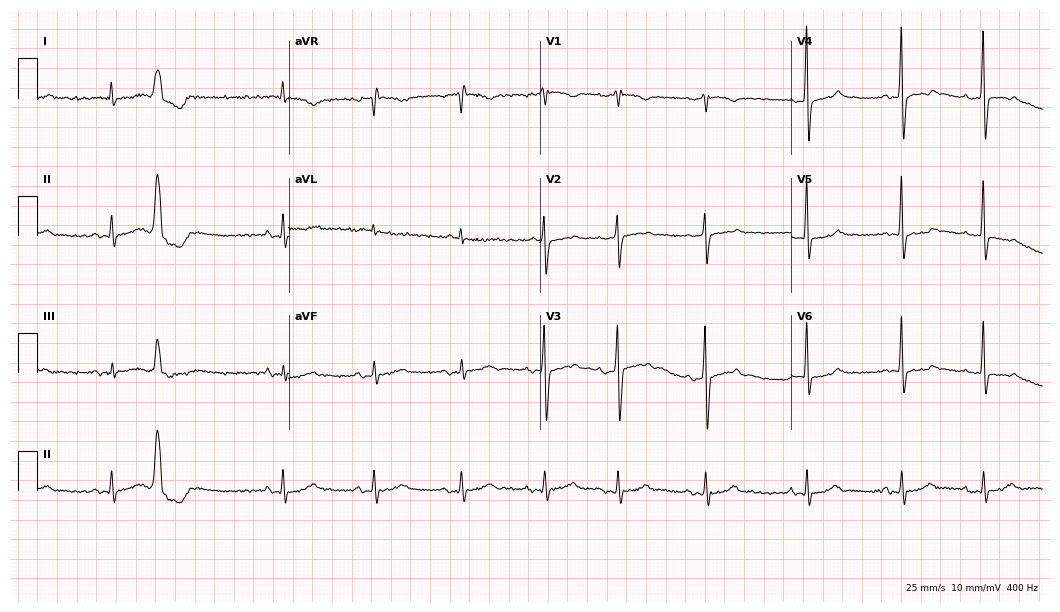
Resting 12-lead electrocardiogram (10.2-second recording at 400 Hz). Patient: a man, 81 years old. None of these six findings is recorded: first-degree AV block, right bundle branch block, left bundle branch block, sinus bradycardia, atrial fibrillation, sinus tachycardia. Only these six findings were labelled.